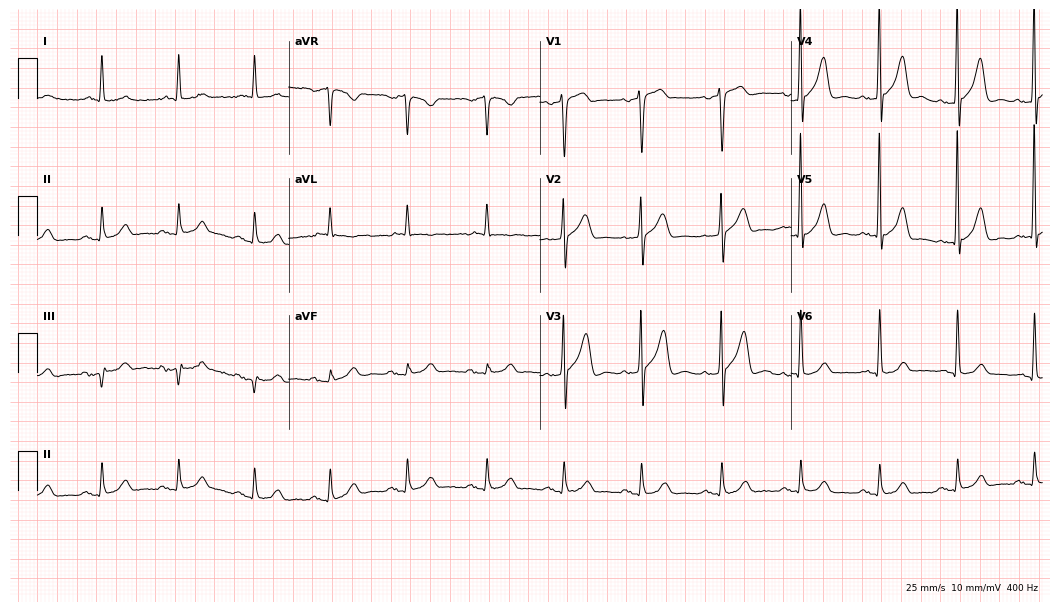
12-lead ECG from a 68-year-old male patient (10.2-second recording at 400 Hz). No first-degree AV block, right bundle branch block, left bundle branch block, sinus bradycardia, atrial fibrillation or sinus tachycardia recorded for this tracing.